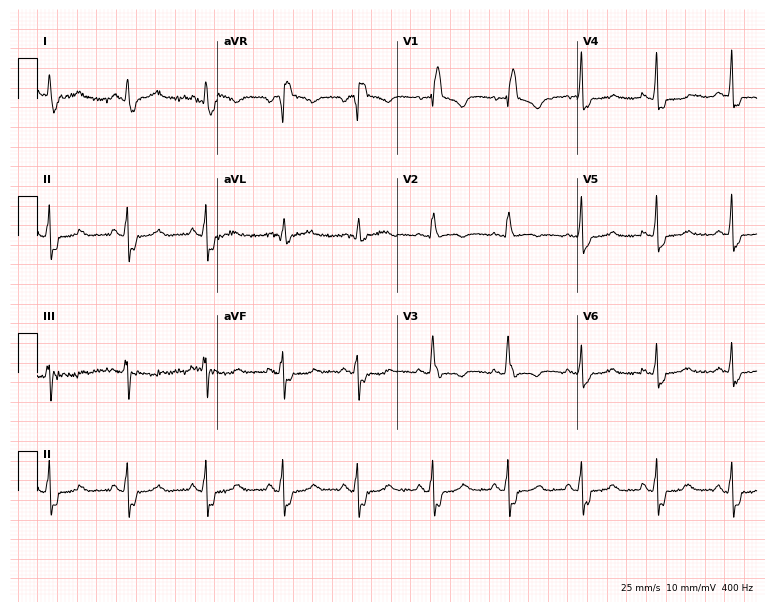
Resting 12-lead electrocardiogram (7.3-second recording at 400 Hz). Patient: a female, 58 years old. None of these six findings is recorded: first-degree AV block, right bundle branch block, left bundle branch block, sinus bradycardia, atrial fibrillation, sinus tachycardia. Only these six findings were labelled.